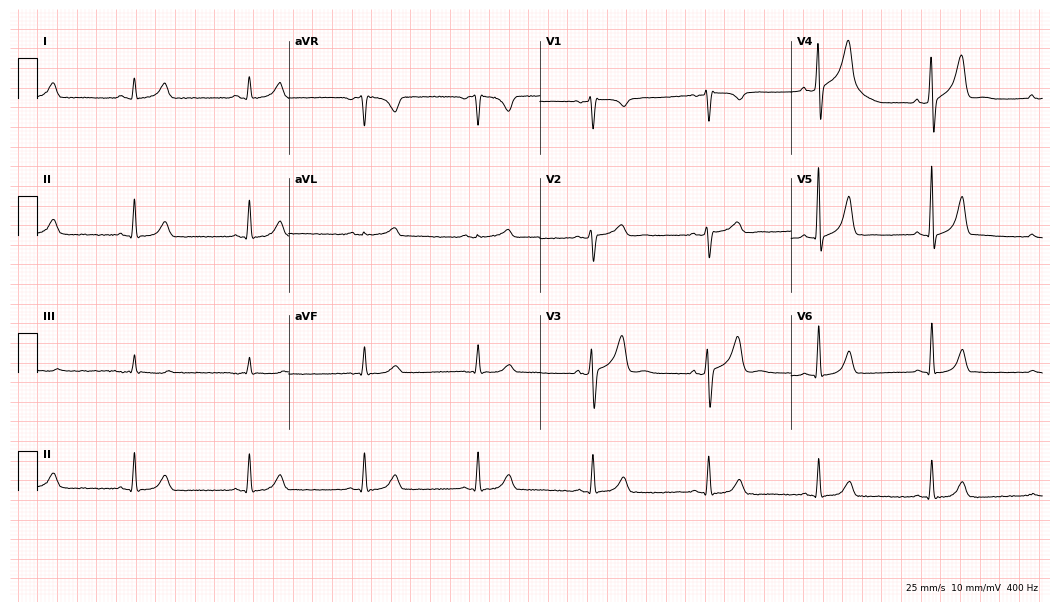
ECG (10.2-second recording at 400 Hz) — a 55-year-old man. Labelled as a normal ECG.